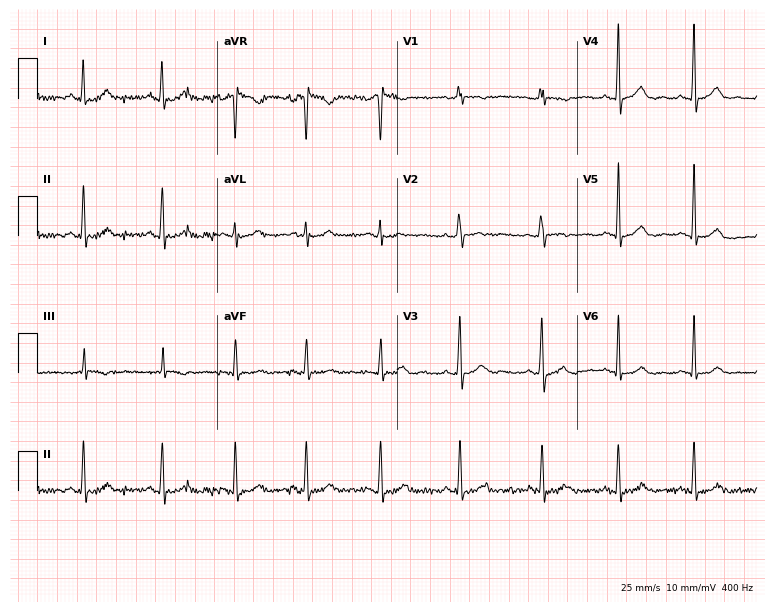
Electrocardiogram, a 28-year-old female patient. Of the six screened findings (first-degree AV block, right bundle branch block (RBBB), left bundle branch block (LBBB), sinus bradycardia, atrial fibrillation (AF), sinus tachycardia), none is recorded. Only these six findings were labelled.